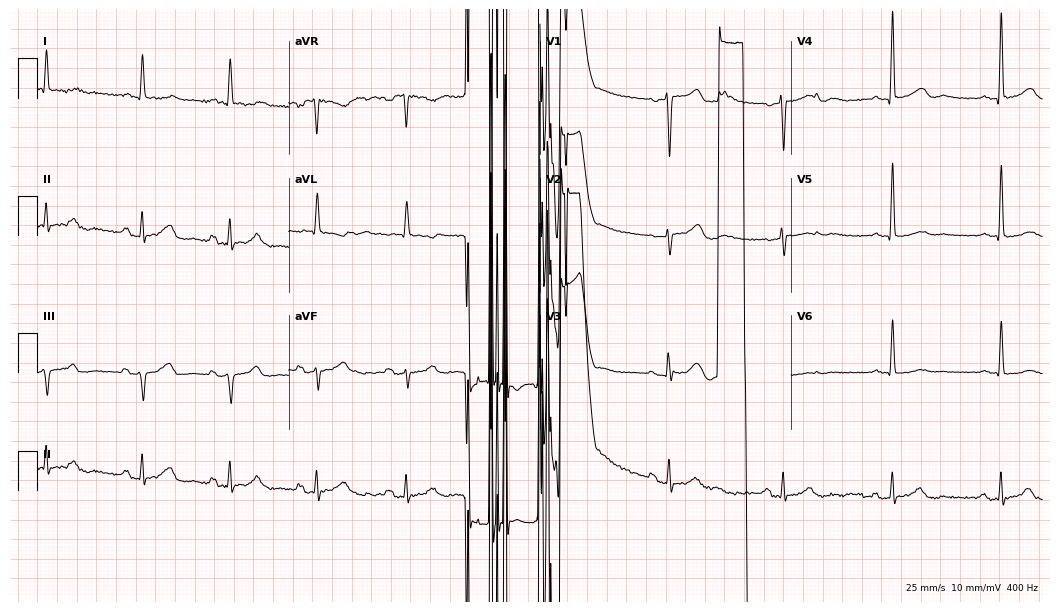
Standard 12-lead ECG recorded from a female, 85 years old. None of these six findings is recorded: first-degree AV block, right bundle branch block, left bundle branch block, sinus bradycardia, atrial fibrillation, sinus tachycardia. Only these six findings were labelled.